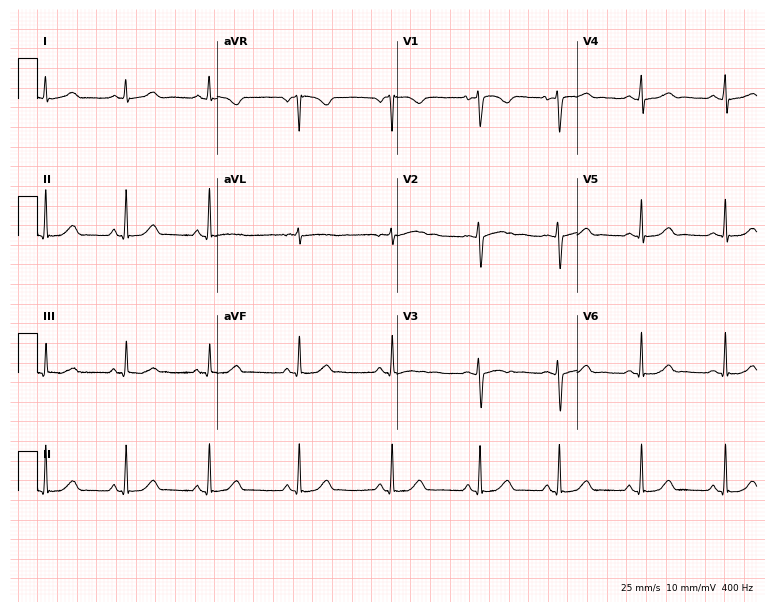
12-lead ECG from a female patient, 26 years old. Labelled as a normal ECG.